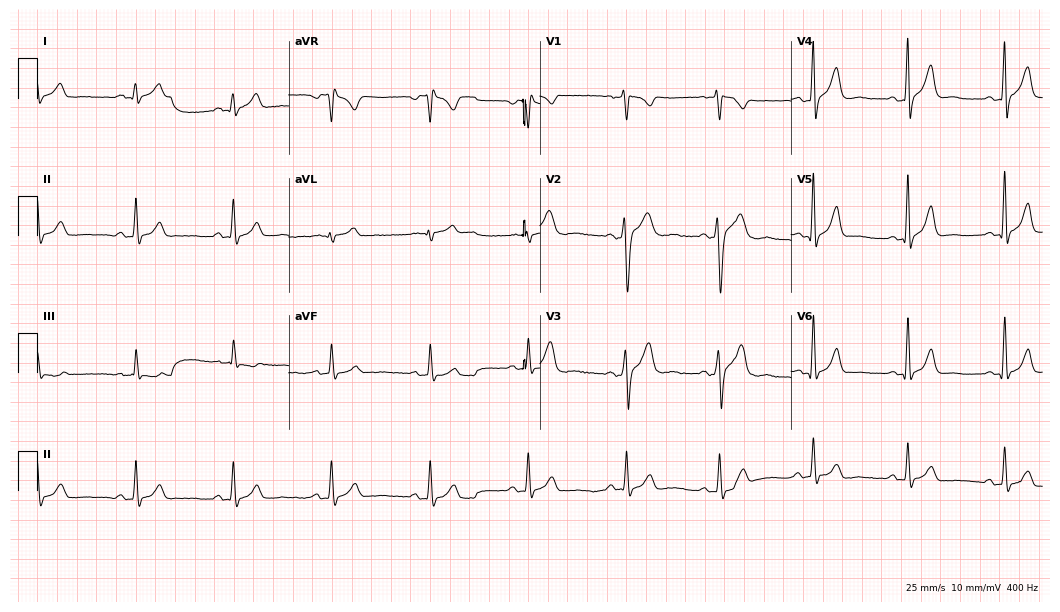
ECG (10.2-second recording at 400 Hz) — a man, 25 years old. Screened for six findings — first-degree AV block, right bundle branch block, left bundle branch block, sinus bradycardia, atrial fibrillation, sinus tachycardia — none is recorded. Other findings, if any, are not listed.